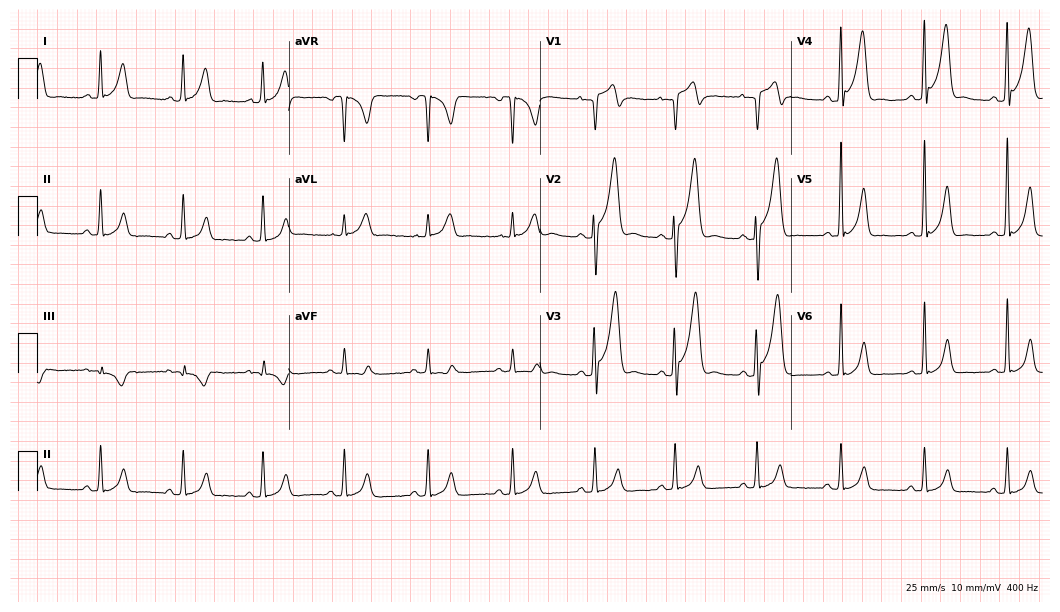
12-lead ECG from a male patient, 24 years old. Recorded interpretation: within normal limits.